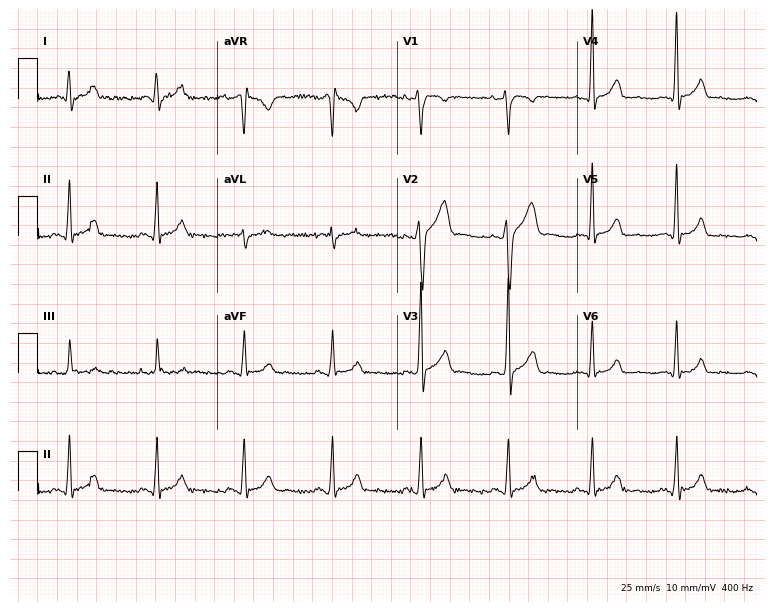
12-lead ECG from a man, 27 years old (7.3-second recording at 400 Hz). No first-degree AV block, right bundle branch block, left bundle branch block, sinus bradycardia, atrial fibrillation or sinus tachycardia recorded for this tracing.